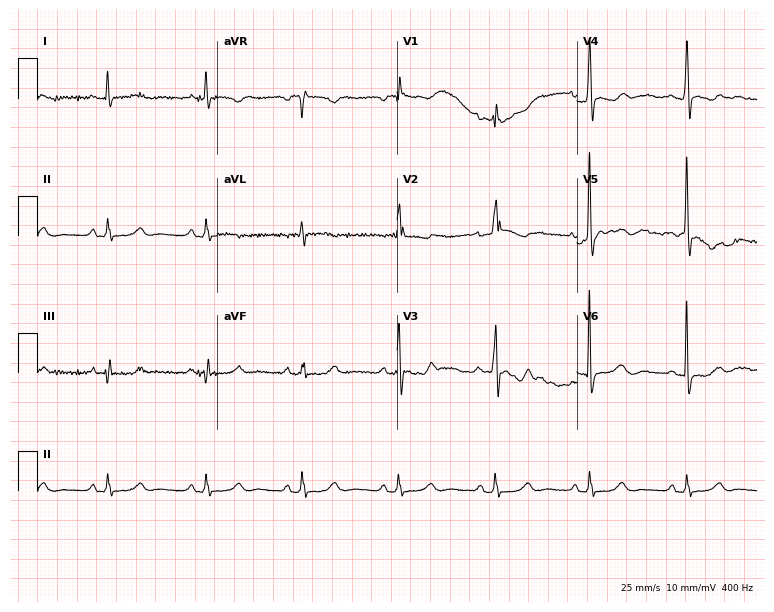
12-lead ECG from a female patient, 62 years old. No first-degree AV block, right bundle branch block (RBBB), left bundle branch block (LBBB), sinus bradycardia, atrial fibrillation (AF) or sinus tachycardia recorded for this tracing.